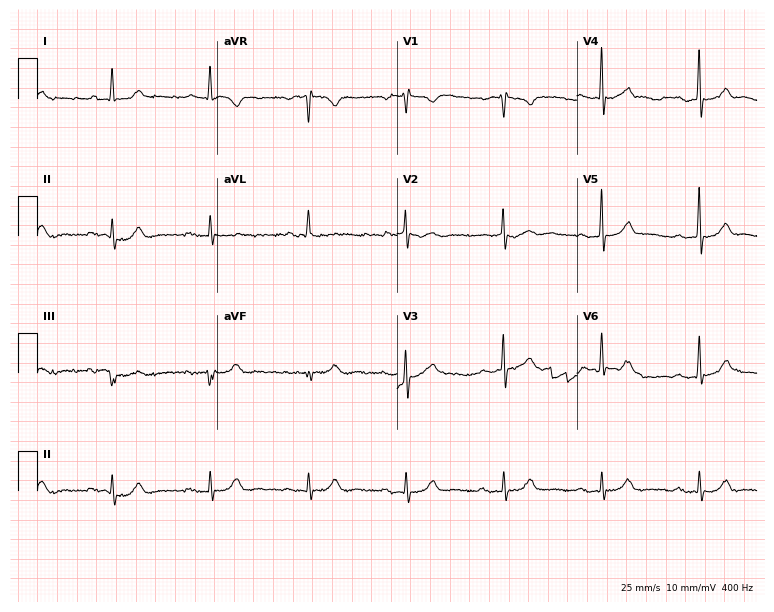
Standard 12-lead ECG recorded from a male patient, 72 years old (7.3-second recording at 400 Hz). The tracing shows first-degree AV block.